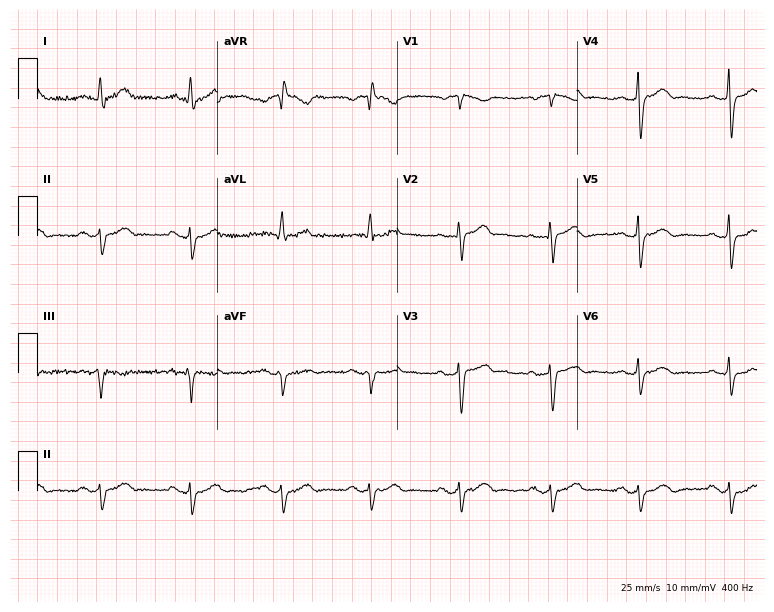
ECG — a 47-year-old man. Screened for six findings — first-degree AV block, right bundle branch block, left bundle branch block, sinus bradycardia, atrial fibrillation, sinus tachycardia — none is recorded.